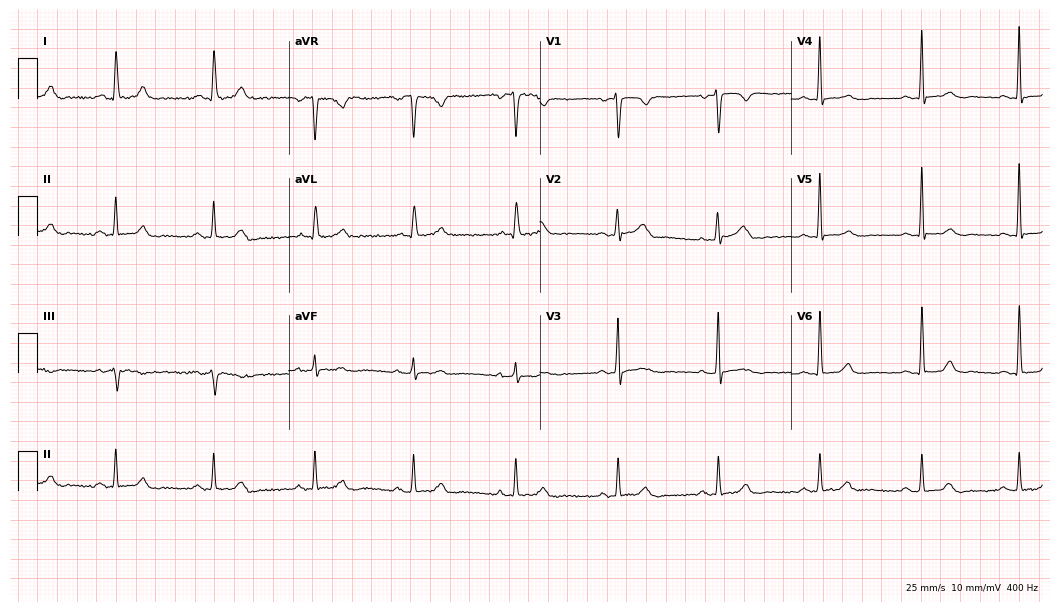
Resting 12-lead electrocardiogram (10.2-second recording at 400 Hz). Patient: a female, 47 years old. Read as a normal ECG.